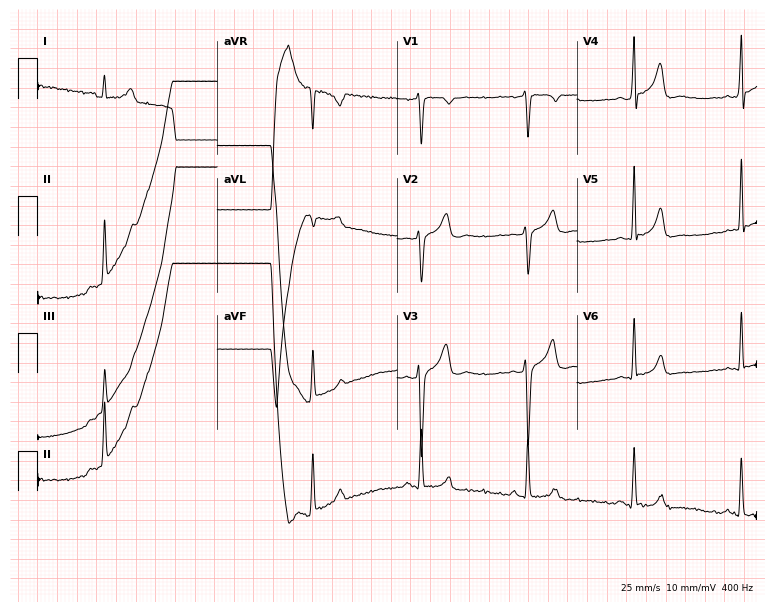
ECG — a male patient, 22 years old. Screened for six findings — first-degree AV block, right bundle branch block, left bundle branch block, sinus bradycardia, atrial fibrillation, sinus tachycardia — none is recorded. Findings outside these six are not listed.